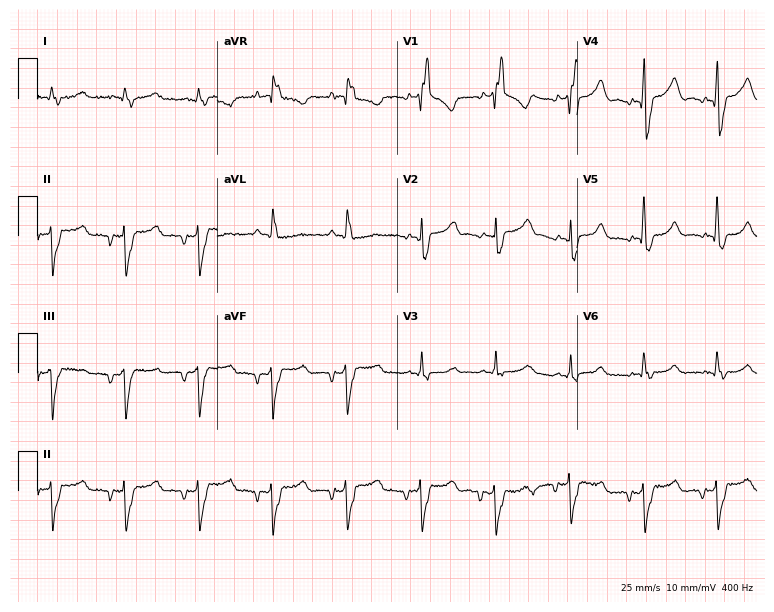
ECG (7.3-second recording at 400 Hz) — a female, 62 years old. Findings include right bundle branch block.